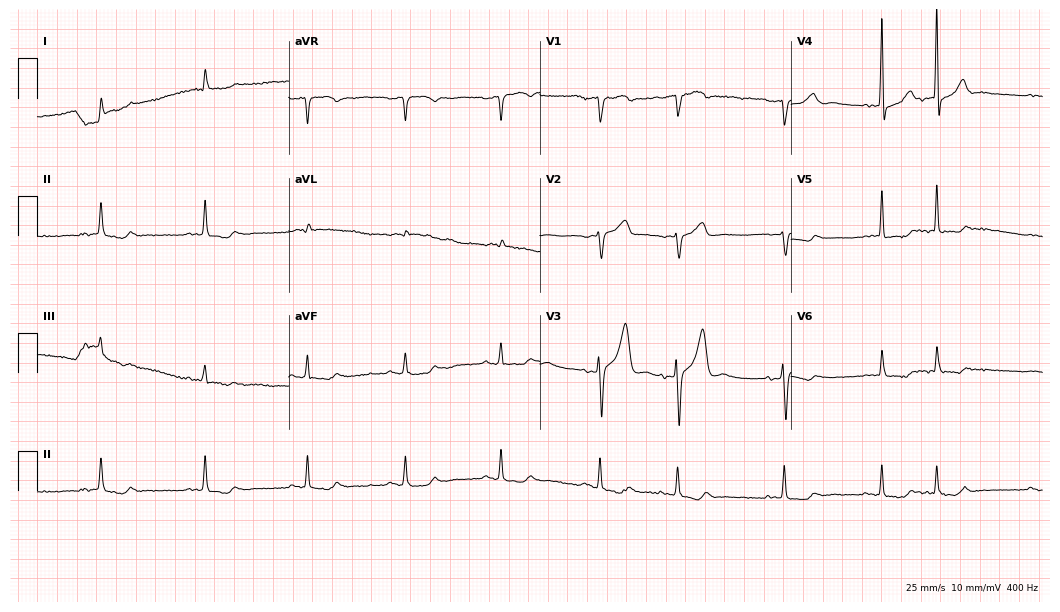
Electrocardiogram, a male, 79 years old. Of the six screened findings (first-degree AV block, right bundle branch block (RBBB), left bundle branch block (LBBB), sinus bradycardia, atrial fibrillation (AF), sinus tachycardia), none is recorded. Other findings, if any, are not listed.